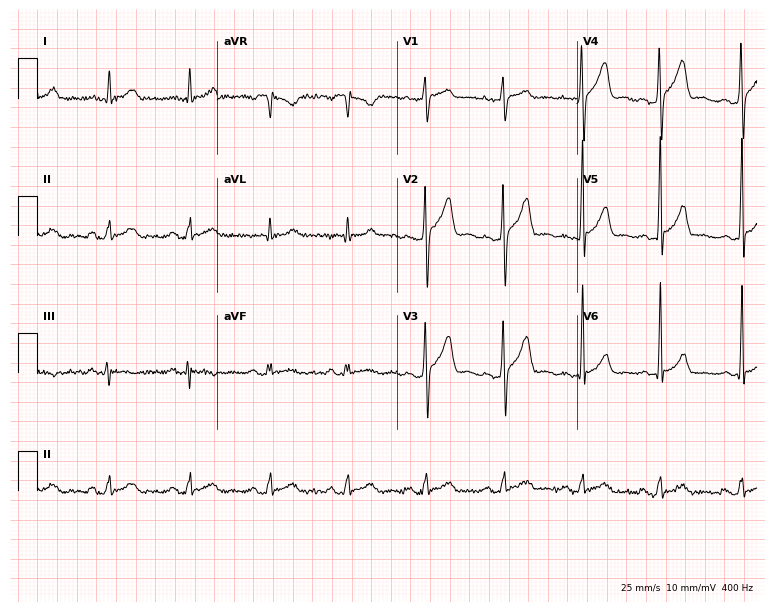
12-lead ECG from a man, 25 years old. Screened for six findings — first-degree AV block, right bundle branch block, left bundle branch block, sinus bradycardia, atrial fibrillation, sinus tachycardia — none is recorded.